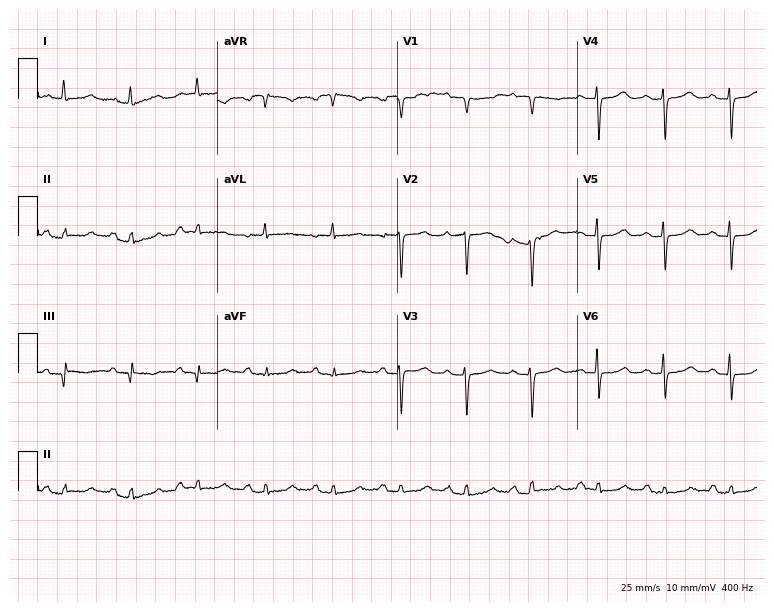
Resting 12-lead electrocardiogram. Patient: a female, 61 years old. None of these six findings is recorded: first-degree AV block, right bundle branch block, left bundle branch block, sinus bradycardia, atrial fibrillation, sinus tachycardia.